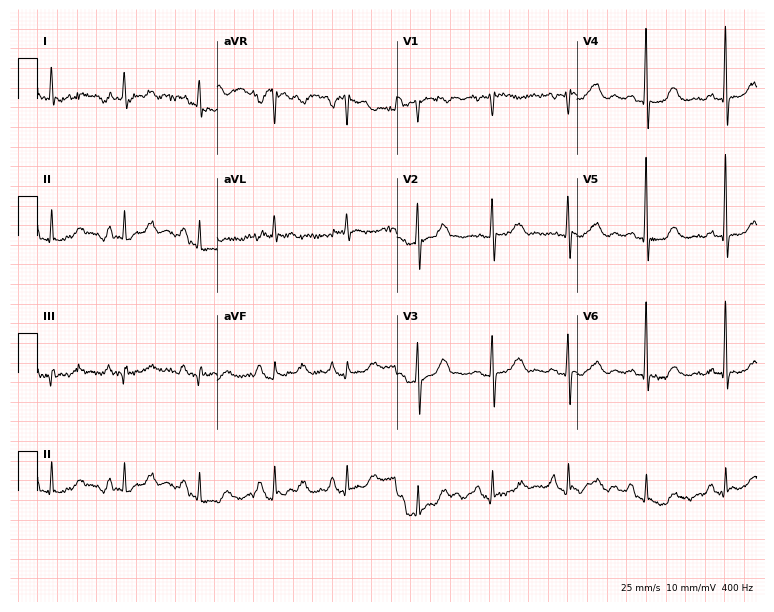
ECG (7.3-second recording at 400 Hz) — a female patient, 72 years old. Screened for six findings — first-degree AV block, right bundle branch block (RBBB), left bundle branch block (LBBB), sinus bradycardia, atrial fibrillation (AF), sinus tachycardia — none is recorded. Only these six findings were labelled.